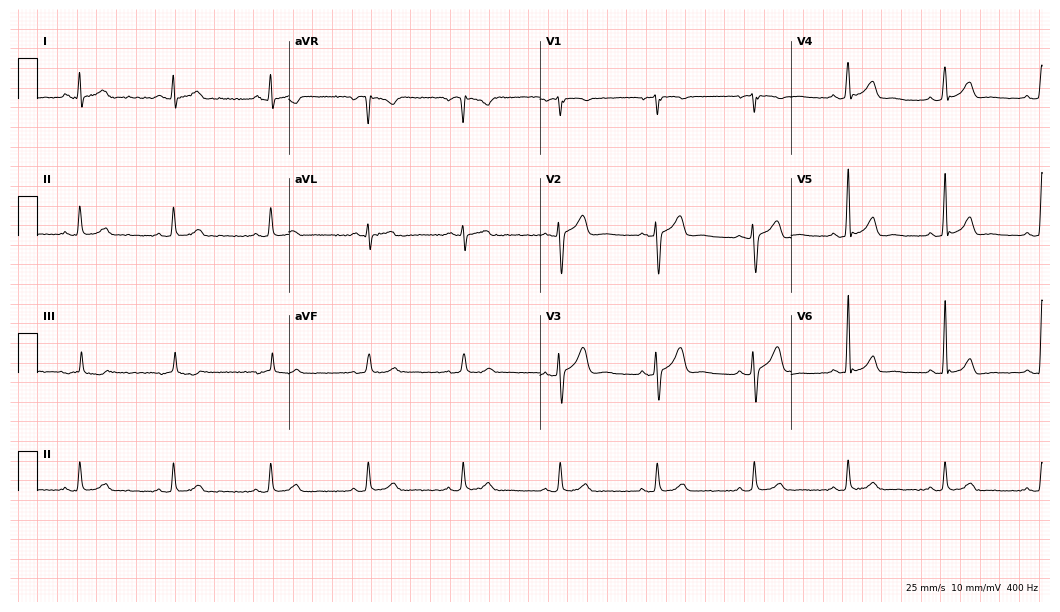
12-lead ECG from a 49-year-old man (10.2-second recording at 400 Hz). Recorded interpretation: within normal limits.